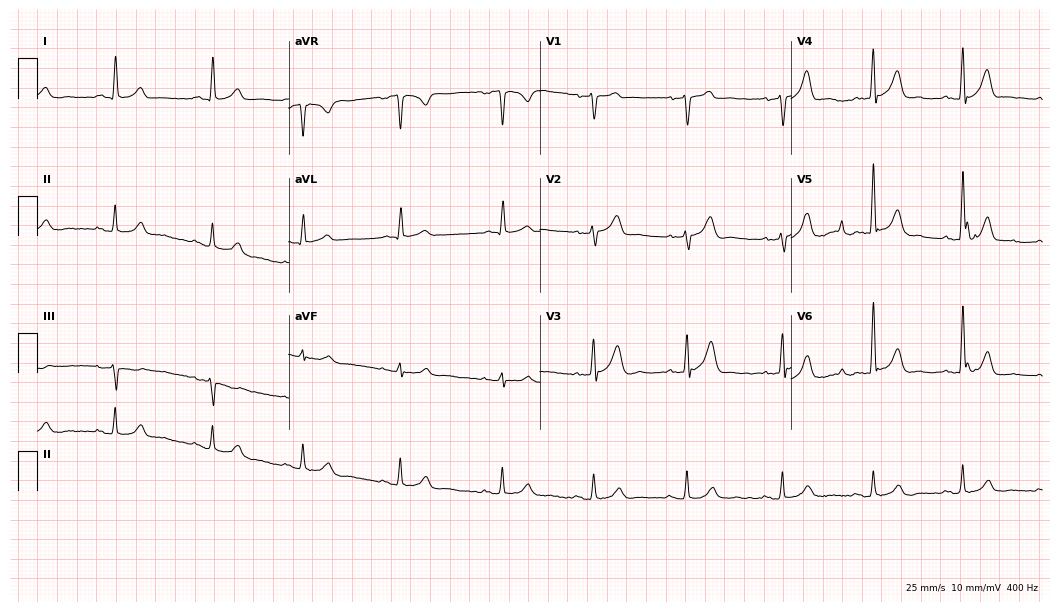
ECG — a 58-year-old male patient. Screened for six findings — first-degree AV block, right bundle branch block, left bundle branch block, sinus bradycardia, atrial fibrillation, sinus tachycardia — none is recorded.